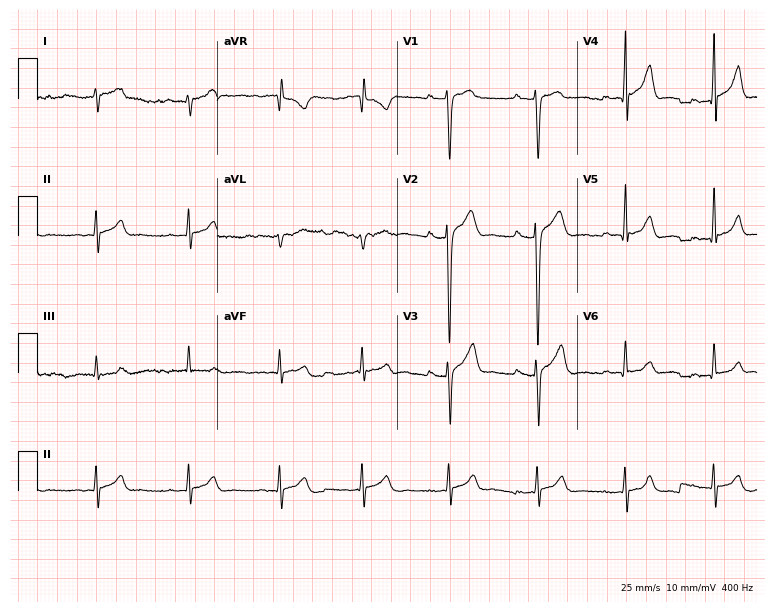
ECG — a 21-year-old man. Screened for six findings — first-degree AV block, right bundle branch block, left bundle branch block, sinus bradycardia, atrial fibrillation, sinus tachycardia — none is recorded. Findings outside these six are not listed.